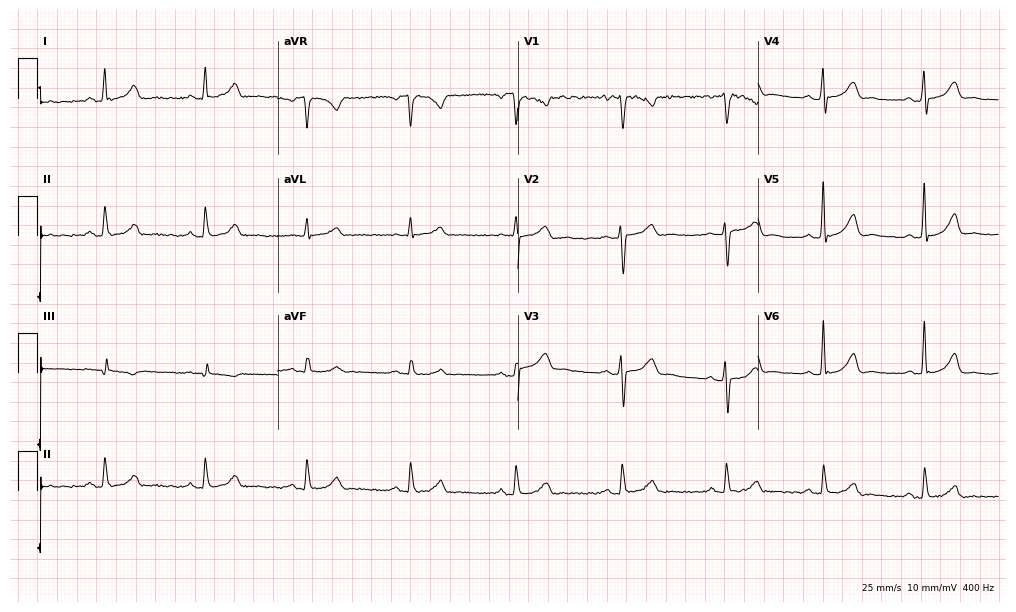
Resting 12-lead electrocardiogram (9.8-second recording at 400 Hz). Patient: a 38-year-old woman. Read as a normal ECG.